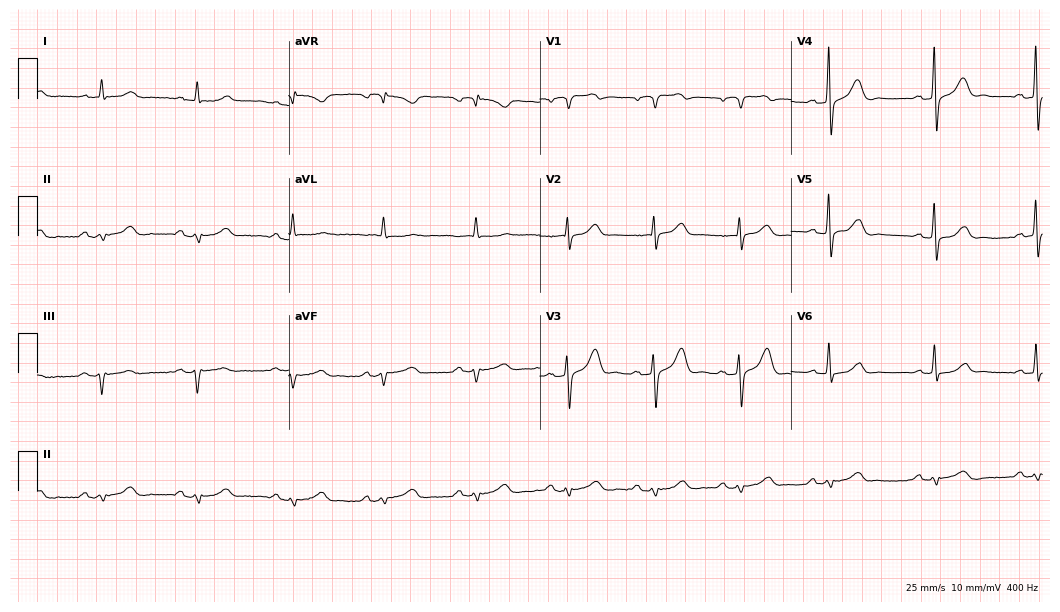
ECG — a male, 75 years old. Screened for six findings — first-degree AV block, right bundle branch block, left bundle branch block, sinus bradycardia, atrial fibrillation, sinus tachycardia — none is recorded.